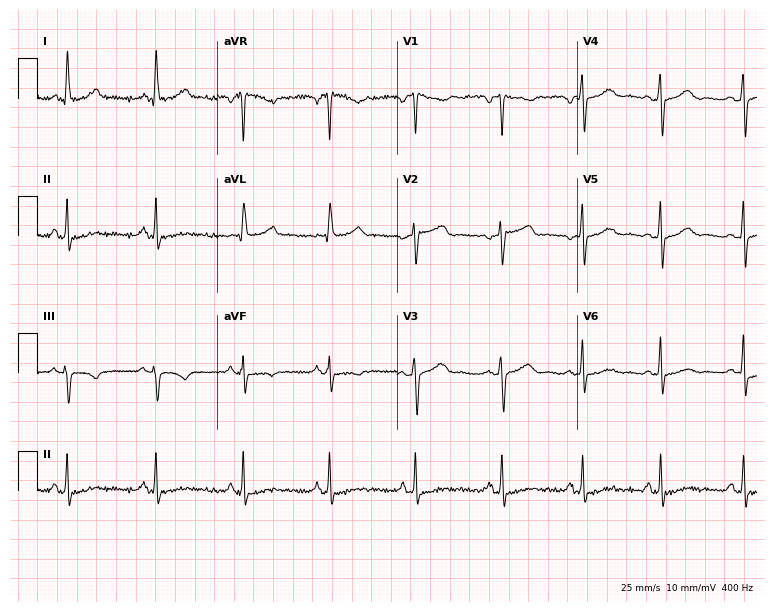
ECG (7.3-second recording at 400 Hz) — a 45-year-old woman. Screened for six findings — first-degree AV block, right bundle branch block (RBBB), left bundle branch block (LBBB), sinus bradycardia, atrial fibrillation (AF), sinus tachycardia — none is recorded. Other findings, if any, are not listed.